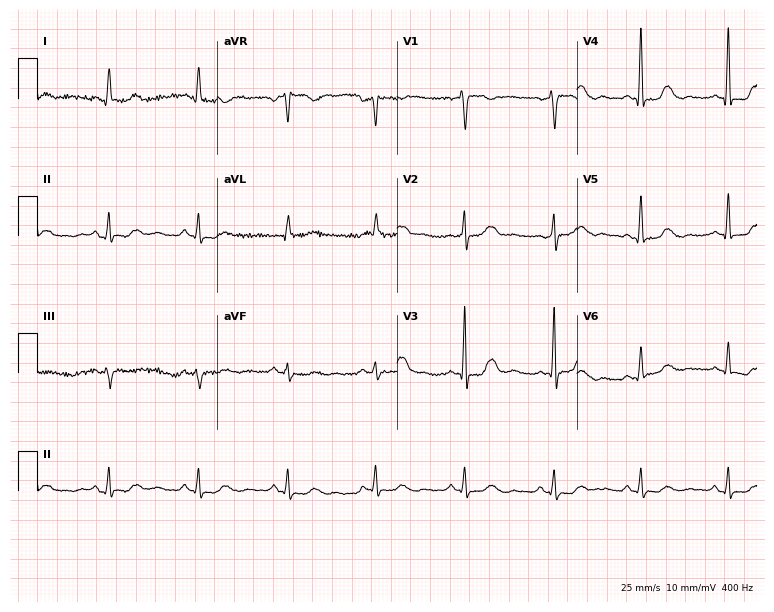
Standard 12-lead ECG recorded from a female, 62 years old. Read as a normal ECG.